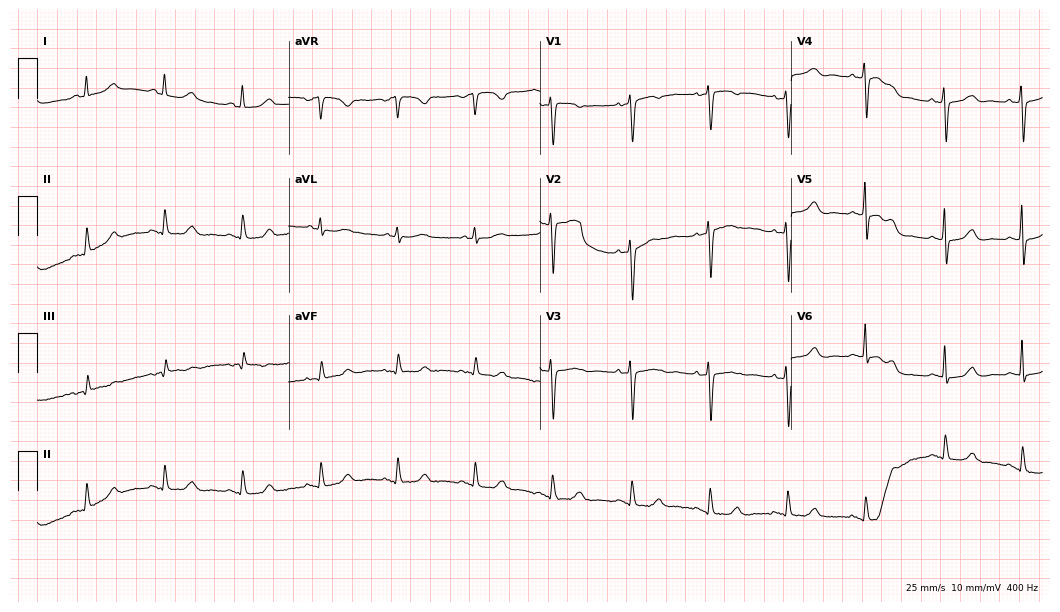
Standard 12-lead ECG recorded from a 61-year-old woman. Read as a normal ECG.